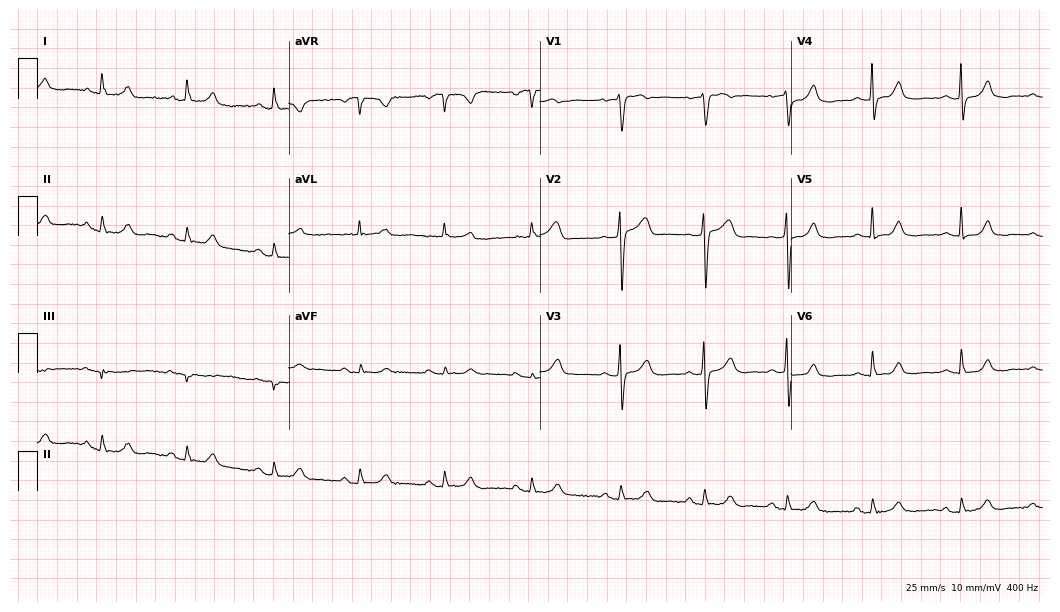
Resting 12-lead electrocardiogram (10.2-second recording at 400 Hz). Patient: a 69-year-old female. Read as a normal ECG.